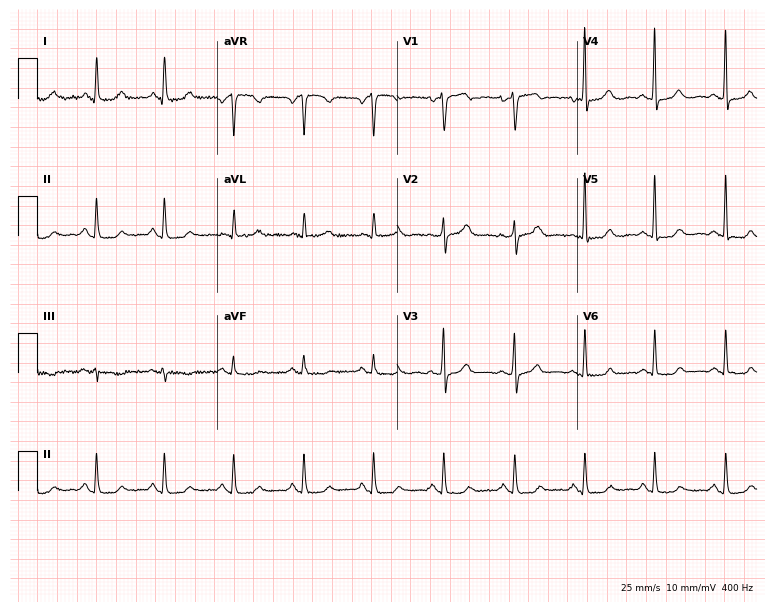
ECG — a 62-year-old female. Labelled as a normal ECG.